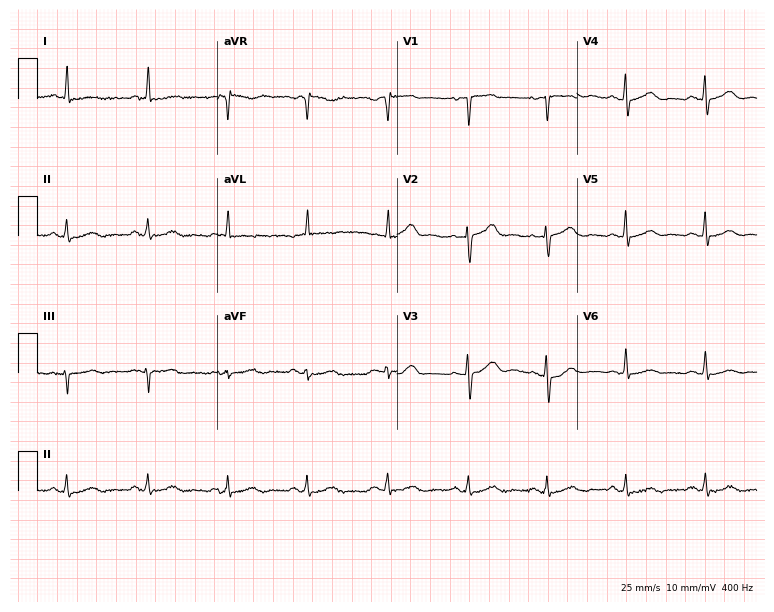
12-lead ECG from a 64-year-old woman (7.3-second recording at 400 Hz). No first-degree AV block, right bundle branch block (RBBB), left bundle branch block (LBBB), sinus bradycardia, atrial fibrillation (AF) or sinus tachycardia recorded for this tracing. Findings outside these six are not listed.